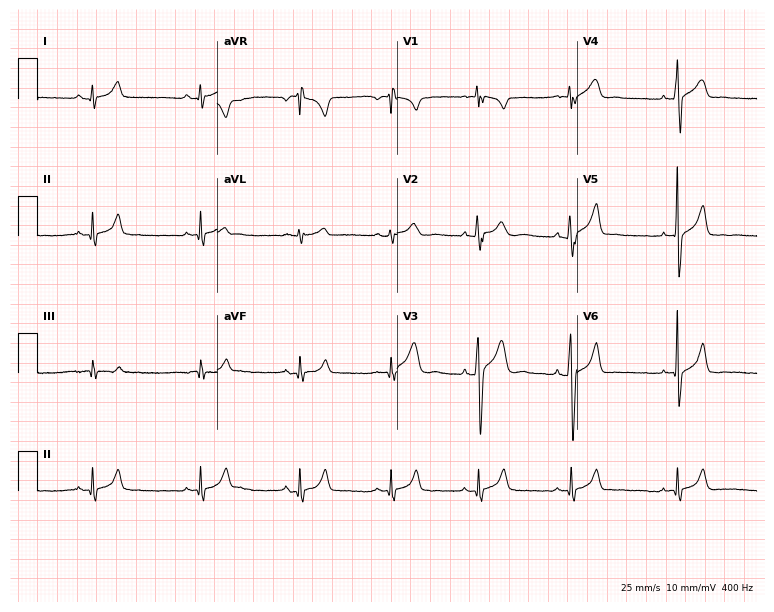
ECG — a 17-year-old male patient. Labelled as a normal ECG.